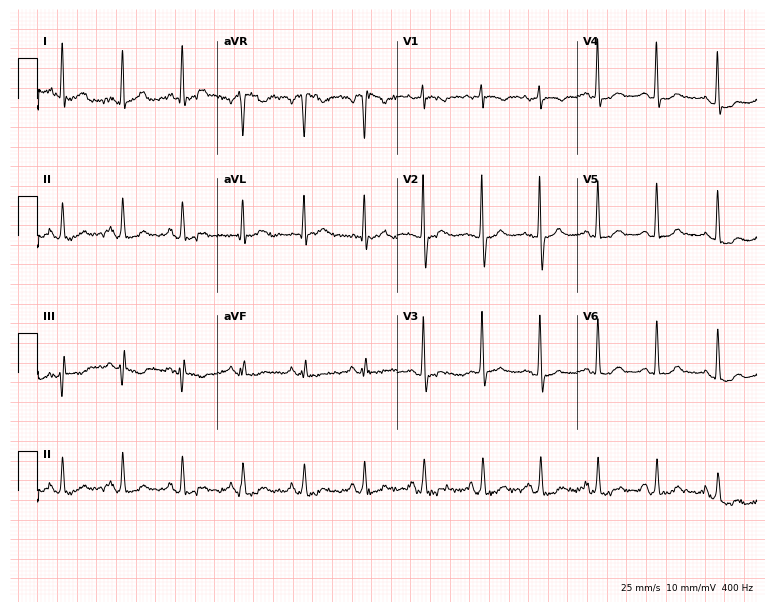
ECG — a 72-year-old female. Screened for six findings — first-degree AV block, right bundle branch block, left bundle branch block, sinus bradycardia, atrial fibrillation, sinus tachycardia — none is recorded.